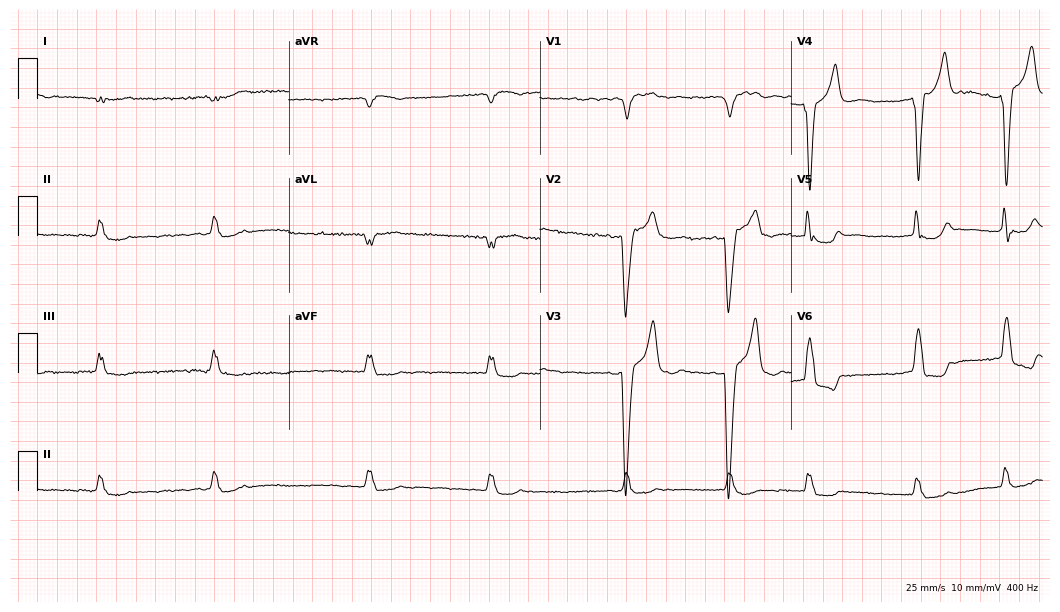
Standard 12-lead ECG recorded from a 79-year-old female (10.2-second recording at 400 Hz). The tracing shows left bundle branch block, atrial fibrillation.